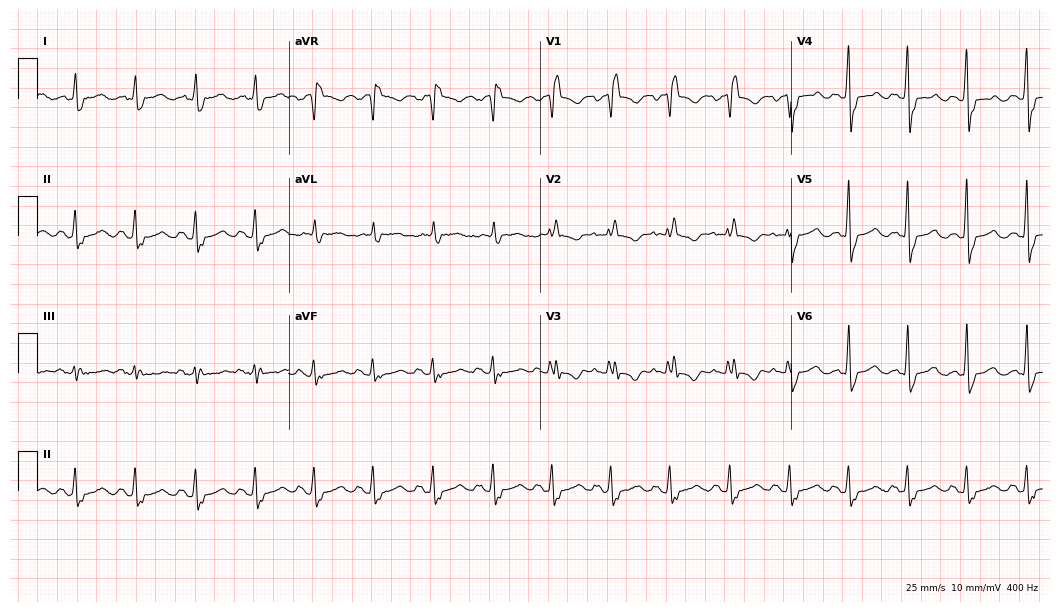
Resting 12-lead electrocardiogram (10.2-second recording at 400 Hz). Patient: an 81-year-old female. None of these six findings is recorded: first-degree AV block, right bundle branch block, left bundle branch block, sinus bradycardia, atrial fibrillation, sinus tachycardia. Findings outside these six are not listed.